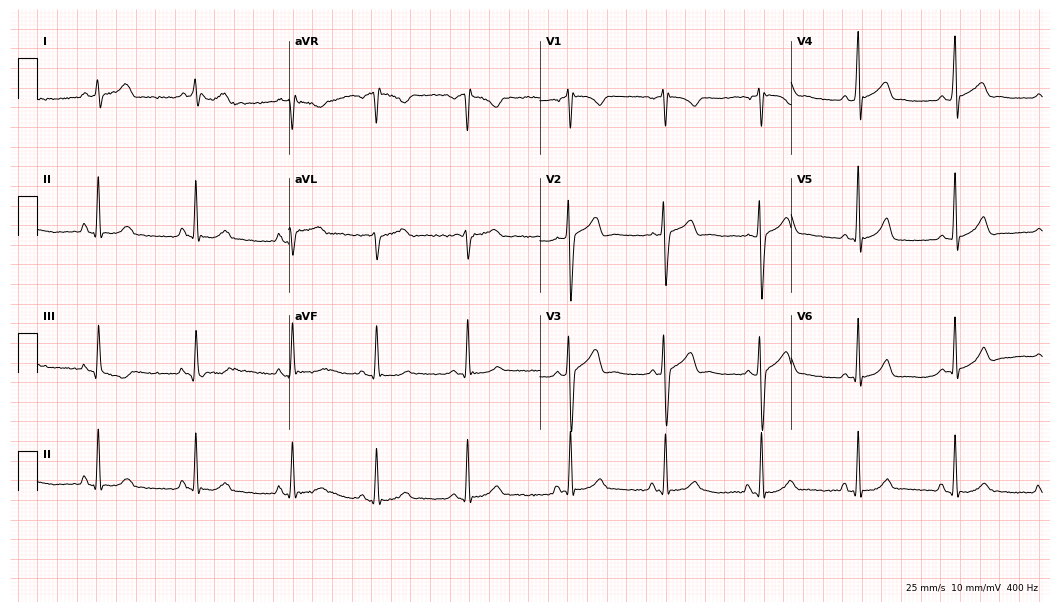
ECG (10.2-second recording at 400 Hz) — an 18-year-old man. Labelled as a normal ECG.